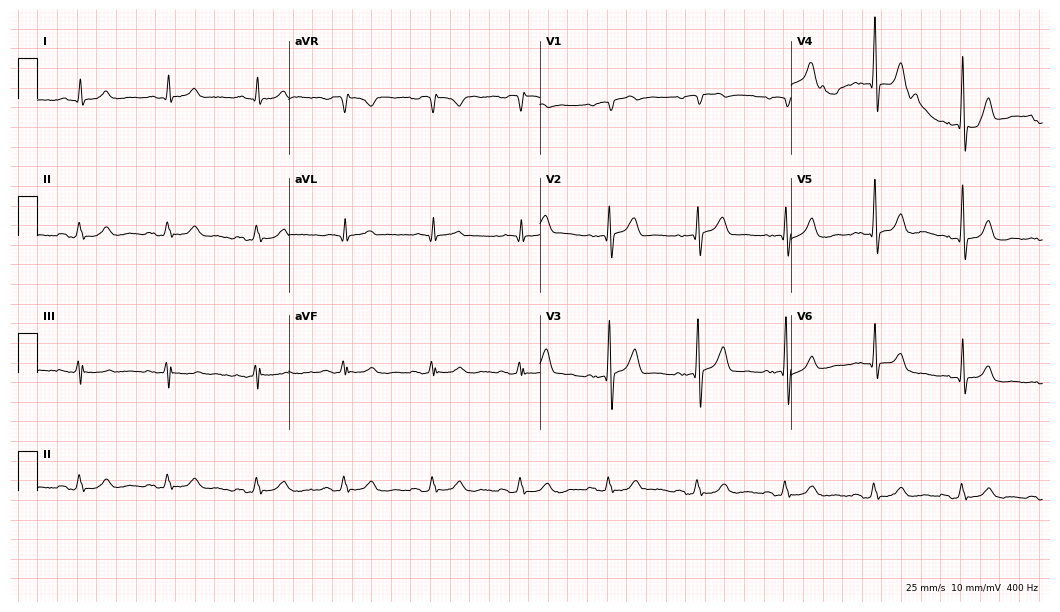
ECG (10.2-second recording at 400 Hz) — a 72-year-old man. Labelled as a normal ECG.